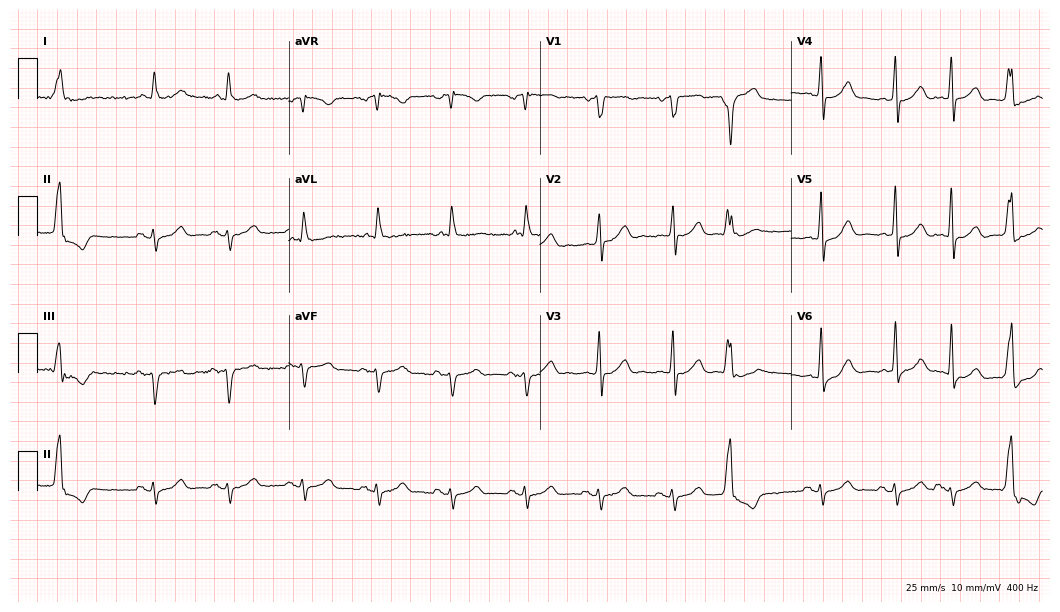
12-lead ECG from an 84-year-old male patient. Screened for six findings — first-degree AV block, right bundle branch block, left bundle branch block, sinus bradycardia, atrial fibrillation, sinus tachycardia — none is recorded. Findings outside these six are not listed.